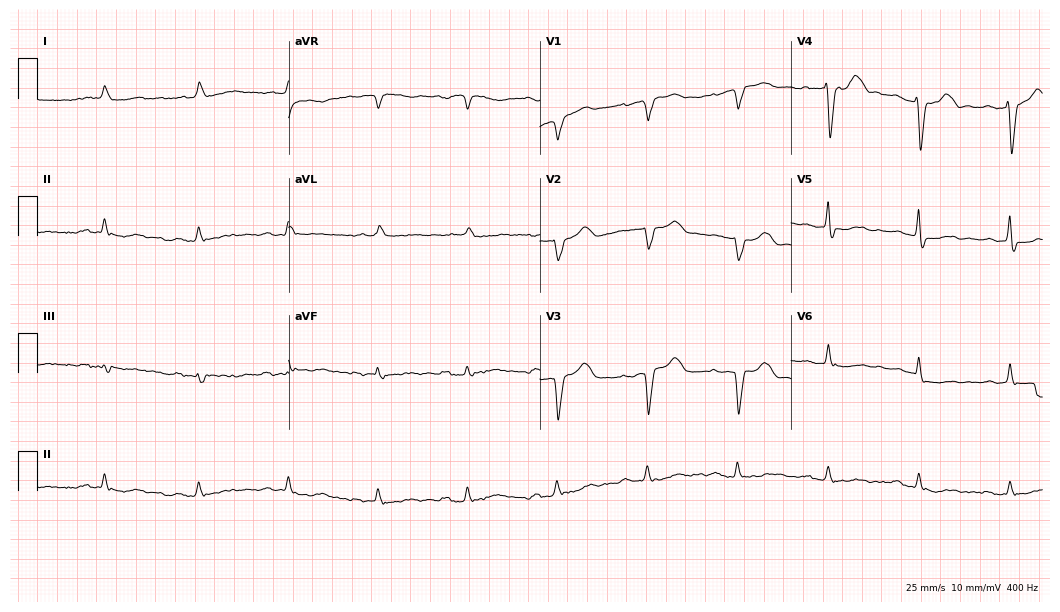
Resting 12-lead electrocardiogram (10.2-second recording at 400 Hz). Patient: a female, 70 years old. None of these six findings is recorded: first-degree AV block, right bundle branch block (RBBB), left bundle branch block (LBBB), sinus bradycardia, atrial fibrillation (AF), sinus tachycardia. Findings outside these six are not listed.